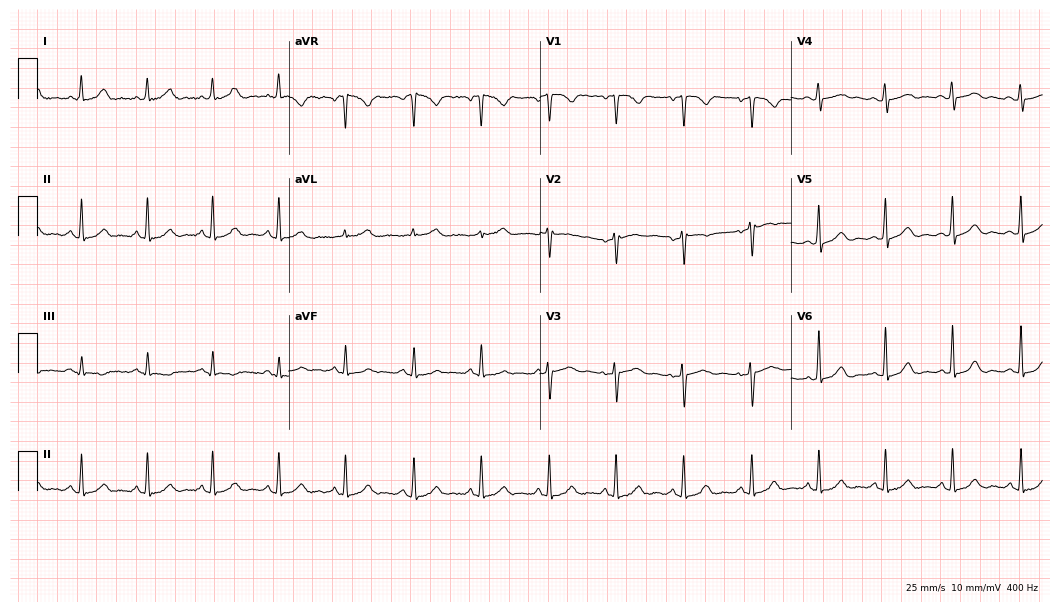
Resting 12-lead electrocardiogram (10.2-second recording at 400 Hz). Patient: a woman, 39 years old. Read as a normal ECG.